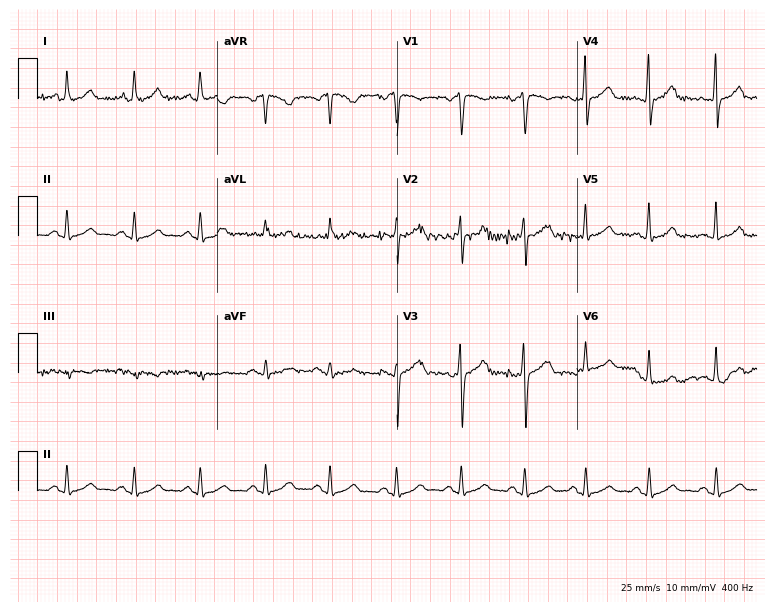
ECG (7.3-second recording at 400 Hz) — a 32-year-old female patient. Screened for six findings — first-degree AV block, right bundle branch block, left bundle branch block, sinus bradycardia, atrial fibrillation, sinus tachycardia — none is recorded.